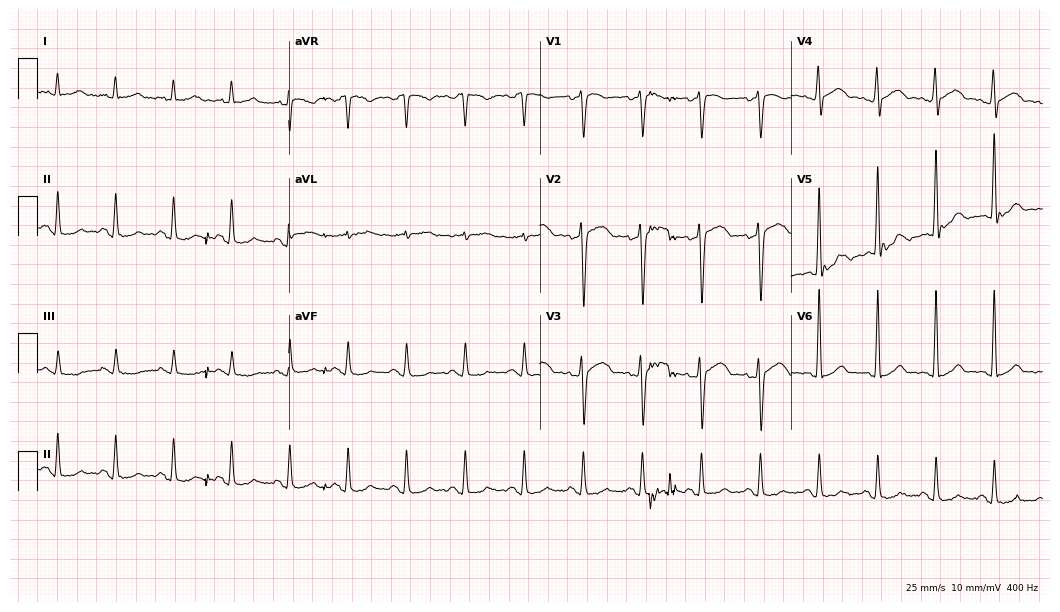
Resting 12-lead electrocardiogram. Patient: a male, 42 years old. The tracing shows sinus tachycardia (a sinus rate of 100 beats per minute or more).